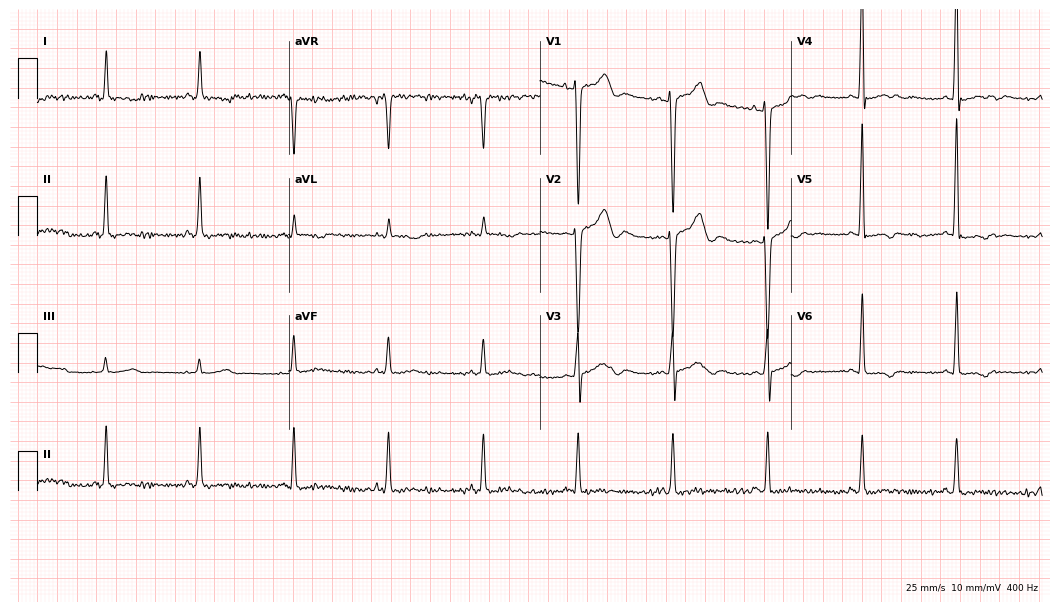
Electrocardiogram (10.2-second recording at 400 Hz), a 67-year-old male. Of the six screened findings (first-degree AV block, right bundle branch block (RBBB), left bundle branch block (LBBB), sinus bradycardia, atrial fibrillation (AF), sinus tachycardia), none is recorded. Only these six findings were labelled.